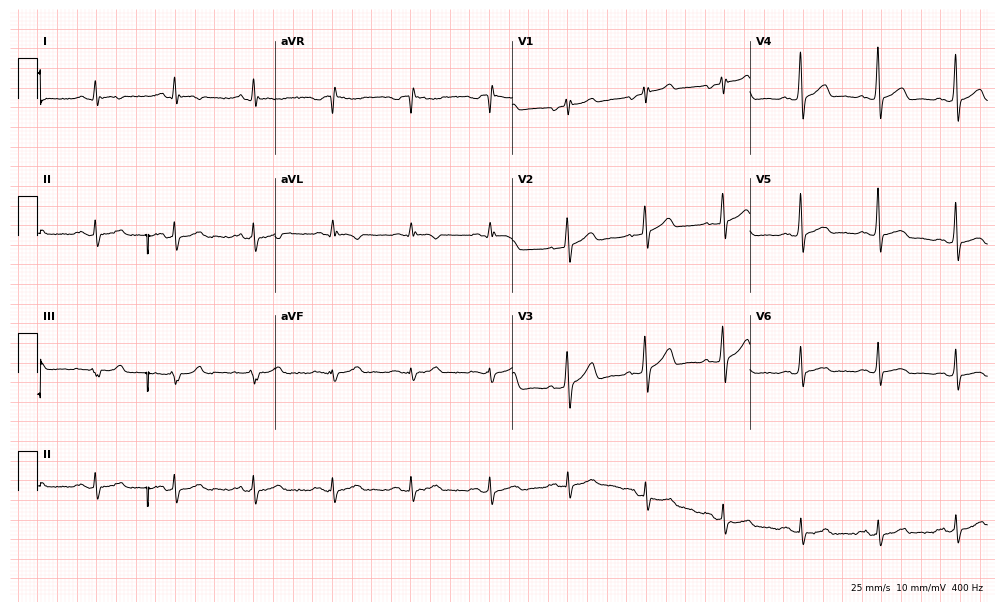
Electrocardiogram, a female patient, 53 years old. Of the six screened findings (first-degree AV block, right bundle branch block (RBBB), left bundle branch block (LBBB), sinus bradycardia, atrial fibrillation (AF), sinus tachycardia), none is recorded.